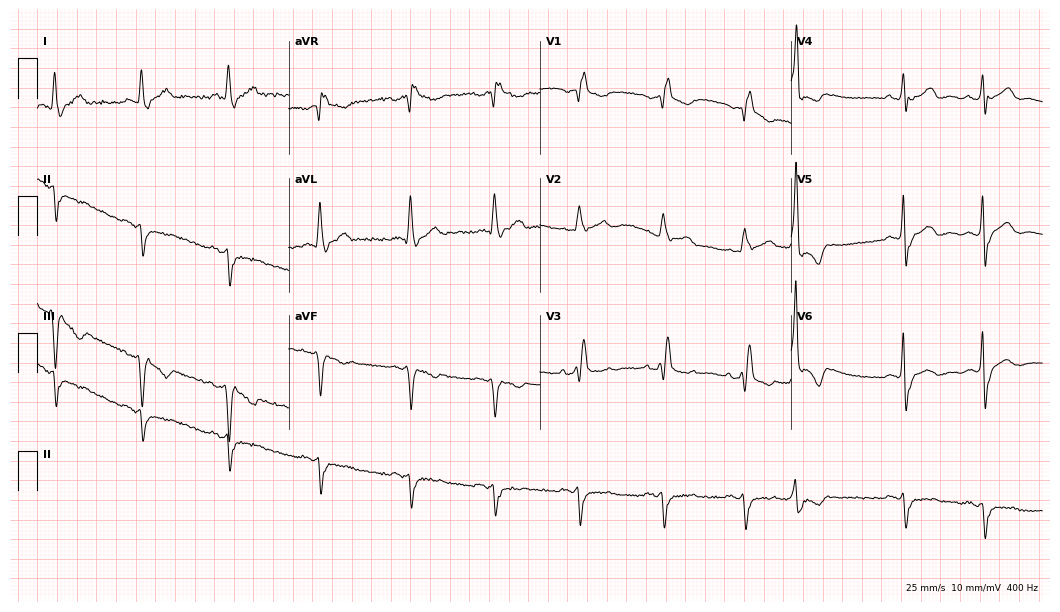
12-lead ECG from a 47-year-old man (10.2-second recording at 400 Hz). No first-degree AV block, right bundle branch block, left bundle branch block, sinus bradycardia, atrial fibrillation or sinus tachycardia recorded for this tracing.